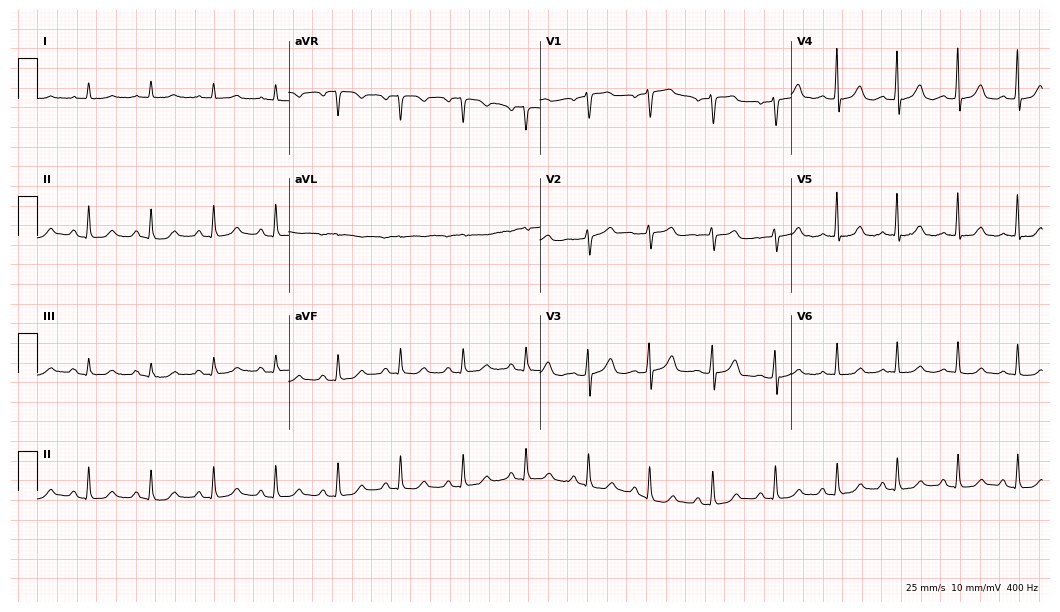
Standard 12-lead ECG recorded from a woman, 79 years old. None of these six findings is recorded: first-degree AV block, right bundle branch block (RBBB), left bundle branch block (LBBB), sinus bradycardia, atrial fibrillation (AF), sinus tachycardia. Other findings, if any, are not listed.